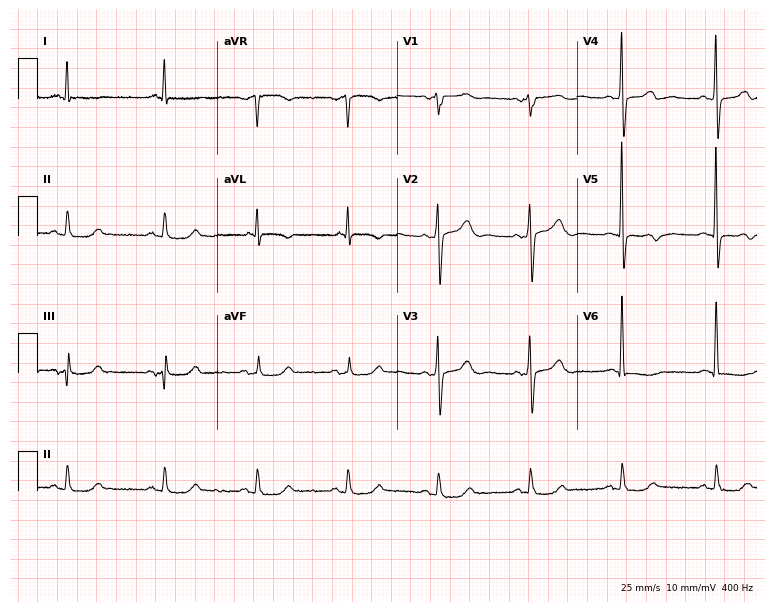
Resting 12-lead electrocardiogram (7.3-second recording at 400 Hz). Patient: a 65-year-old female. None of these six findings is recorded: first-degree AV block, right bundle branch block, left bundle branch block, sinus bradycardia, atrial fibrillation, sinus tachycardia.